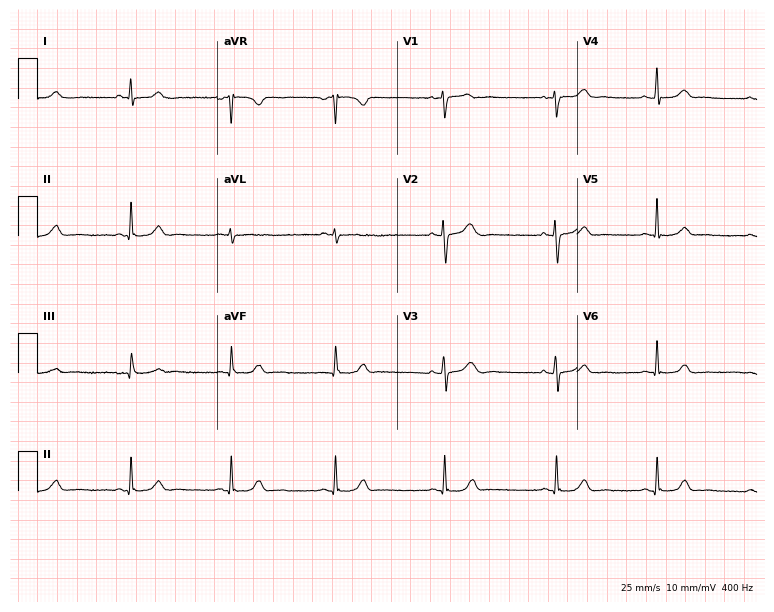
Standard 12-lead ECG recorded from a 41-year-old woman (7.3-second recording at 400 Hz). Read as a normal ECG.